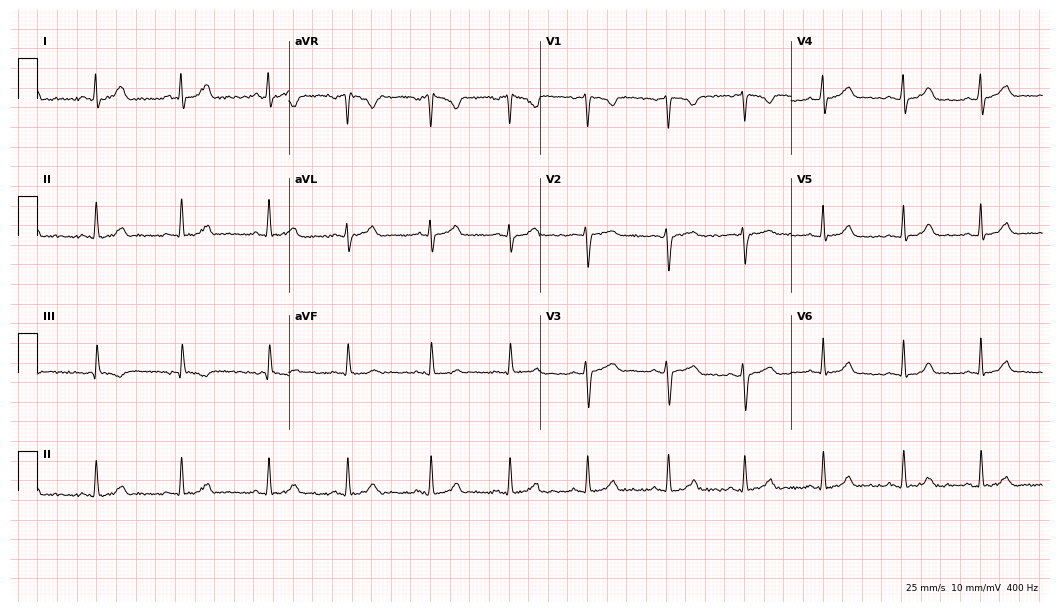
Resting 12-lead electrocardiogram (10.2-second recording at 400 Hz). Patient: a 26-year-old female. Read as a normal ECG.